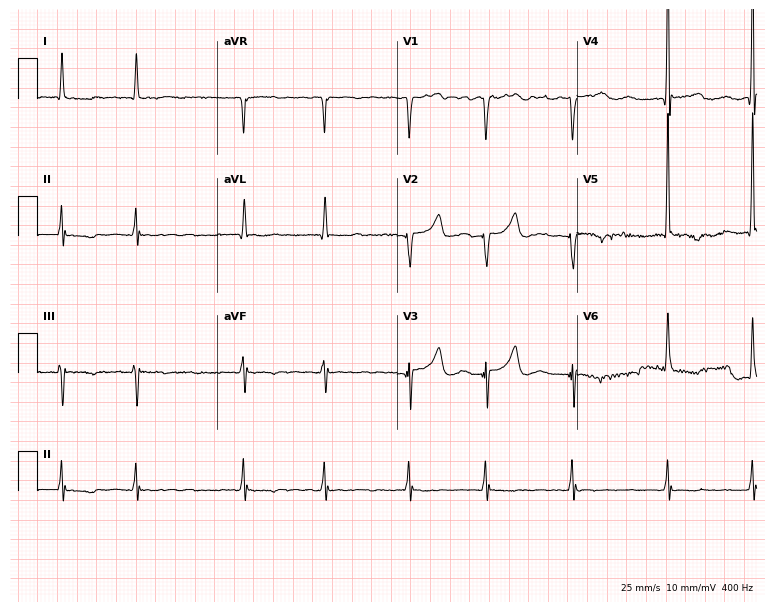
12-lead ECG (7.3-second recording at 400 Hz) from a male, 78 years old. Findings include atrial fibrillation.